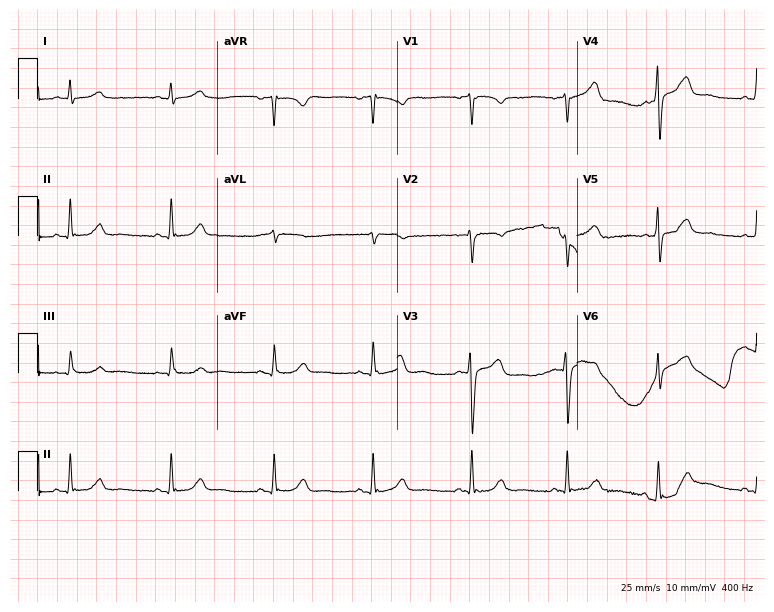
12-lead ECG from a male patient, 53 years old. Labelled as a normal ECG.